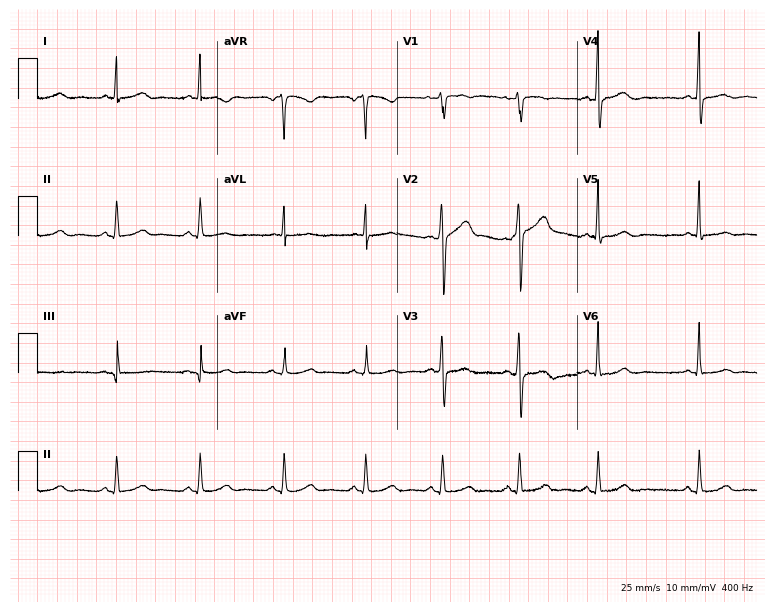
12-lead ECG from a female patient, 55 years old. Screened for six findings — first-degree AV block, right bundle branch block, left bundle branch block, sinus bradycardia, atrial fibrillation, sinus tachycardia — none is recorded. Other findings, if any, are not listed.